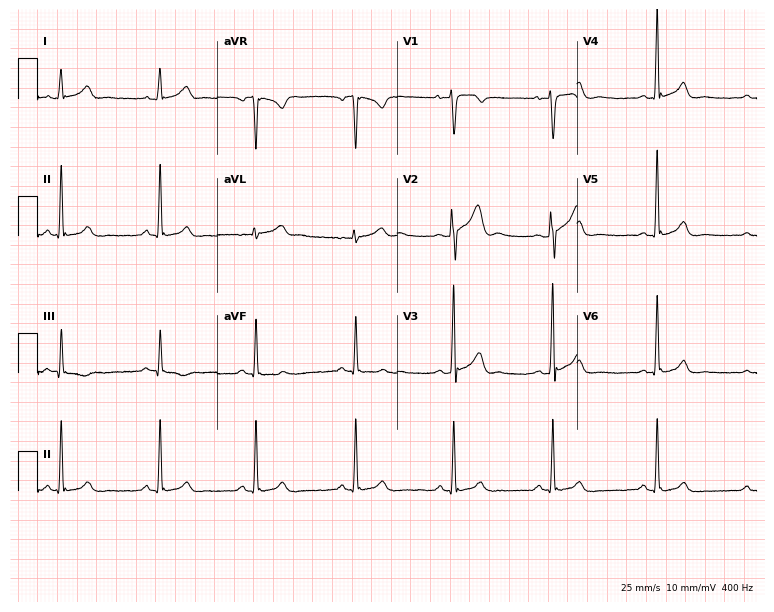
12-lead ECG from a man, 26 years old (7.3-second recording at 400 Hz). Recorded interpretation: within normal limits.